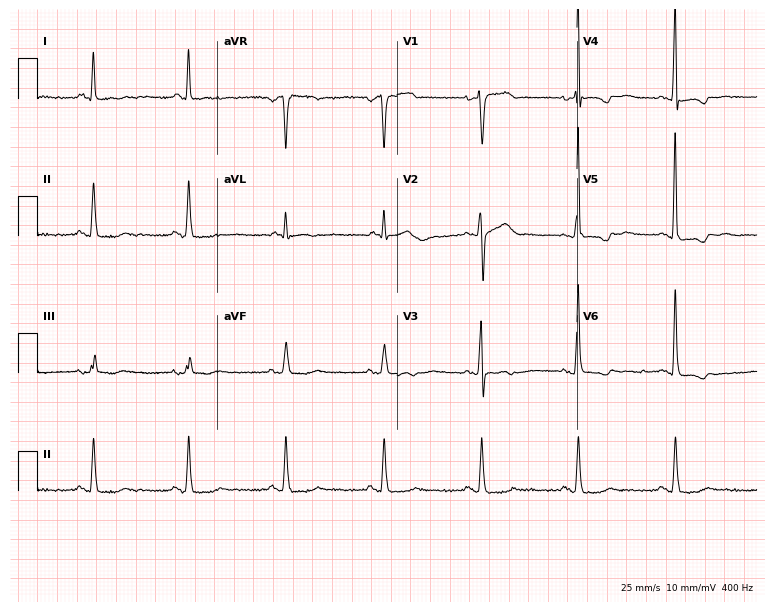
12-lead ECG from a 53-year-old female. Screened for six findings — first-degree AV block, right bundle branch block, left bundle branch block, sinus bradycardia, atrial fibrillation, sinus tachycardia — none is recorded. Findings outside these six are not listed.